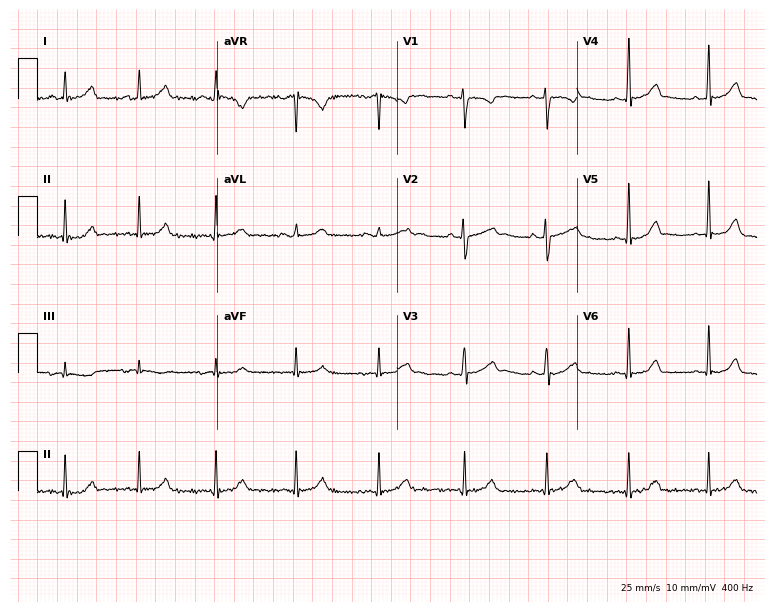
ECG (7.3-second recording at 400 Hz) — a 25-year-old female patient. Labelled as a normal ECG.